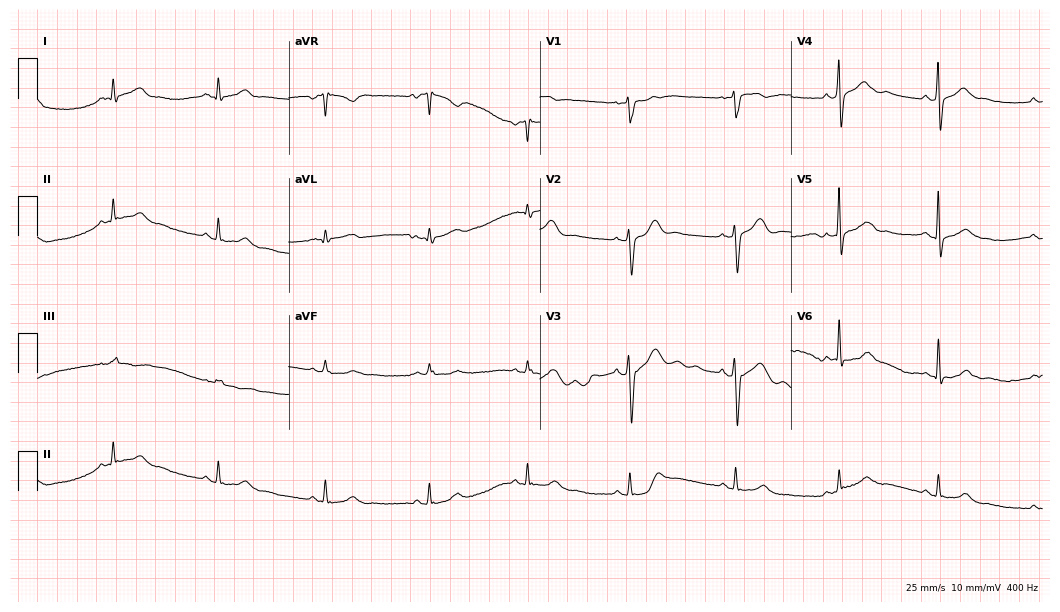
ECG — a man, 44 years old. Labelled as a normal ECG.